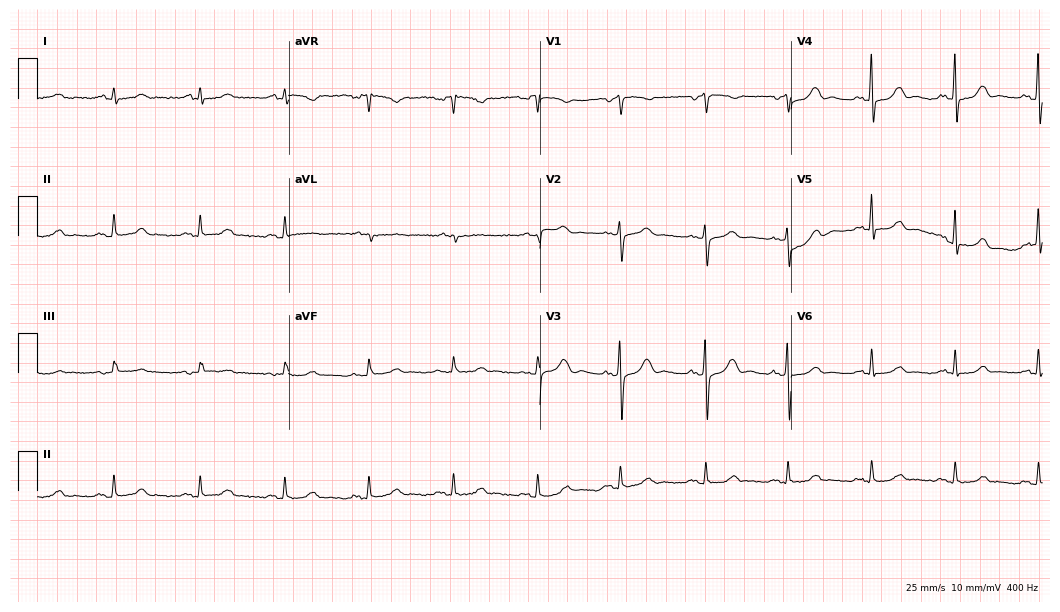
Resting 12-lead electrocardiogram. Patient: a 77-year-old woman. Read as a normal ECG.